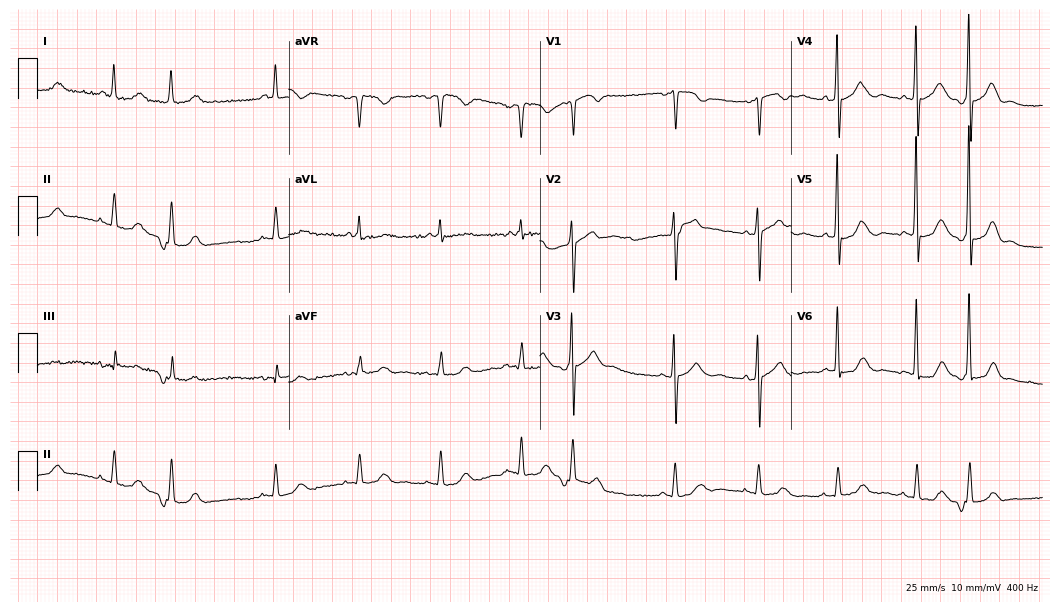
Standard 12-lead ECG recorded from a female, 84 years old. None of these six findings is recorded: first-degree AV block, right bundle branch block, left bundle branch block, sinus bradycardia, atrial fibrillation, sinus tachycardia.